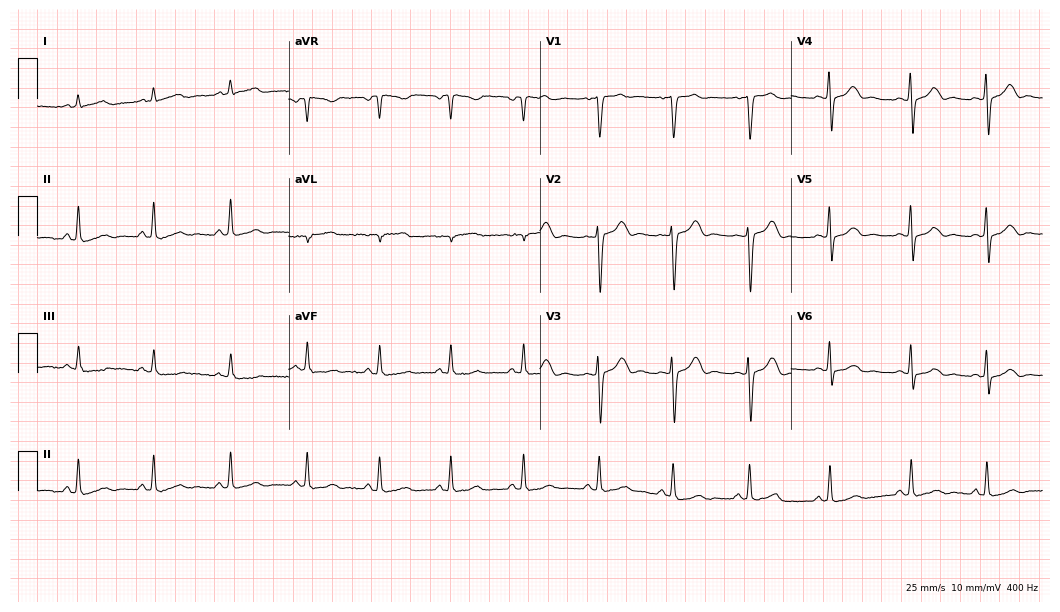
Electrocardiogram, a 30-year-old female. Of the six screened findings (first-degree AV block, right bundle branch block, left bundle branch block, sinus bradycardia, atrial fibrillation, sinus tachycardia), none is recorded. Other findings, if any, are not listed.